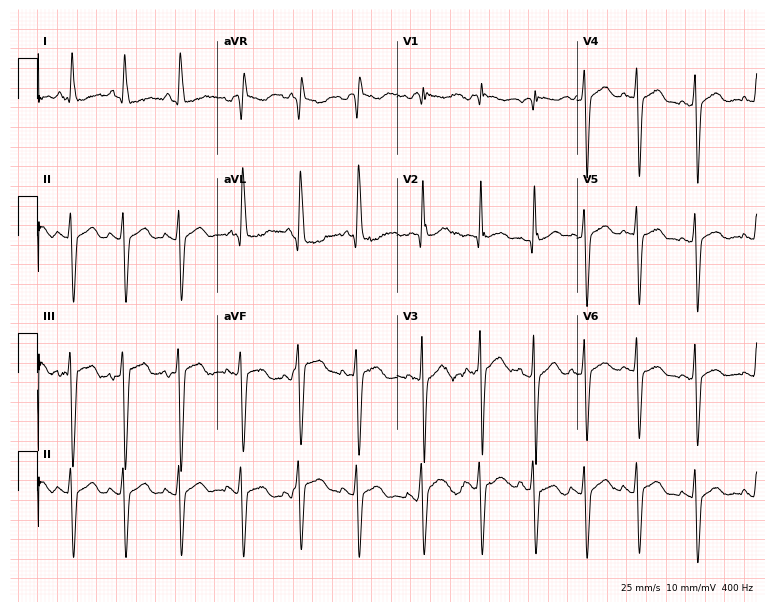
Electrocardiogram, a female patient, 77 years old. Interpretation includes sinus tachycardia (a sinus rate of 100 beats per minute or more).